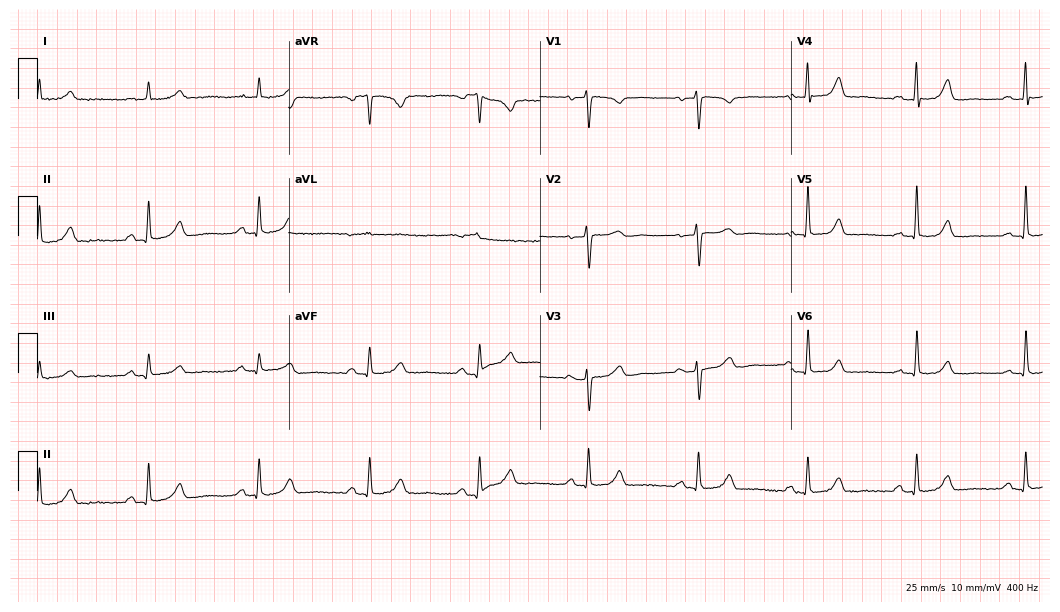
Resting 12-lead electrocardiogram (10.2-second recording at 400 Hz). Patient: a woman, 71 years old. Read as a normal ECG.